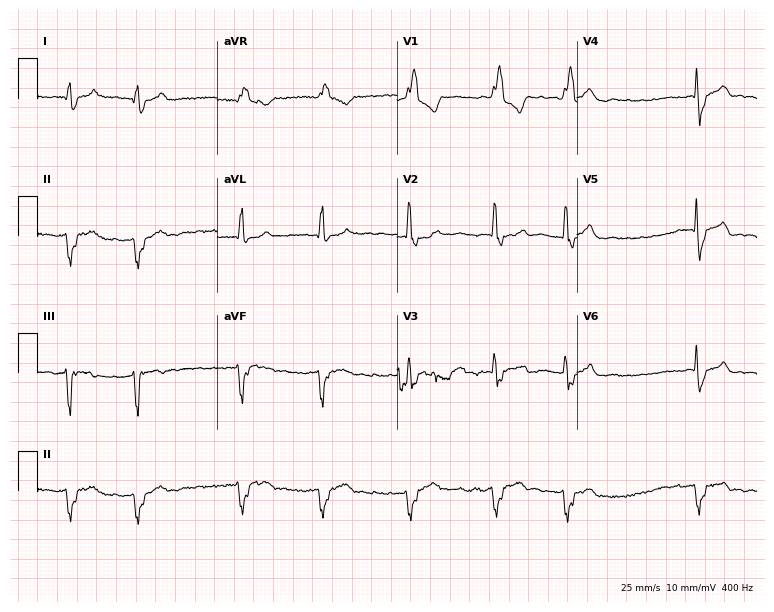
12-lead ECG from a 62-year-old male. Shows right bundle branch block, atrial fibrillation.